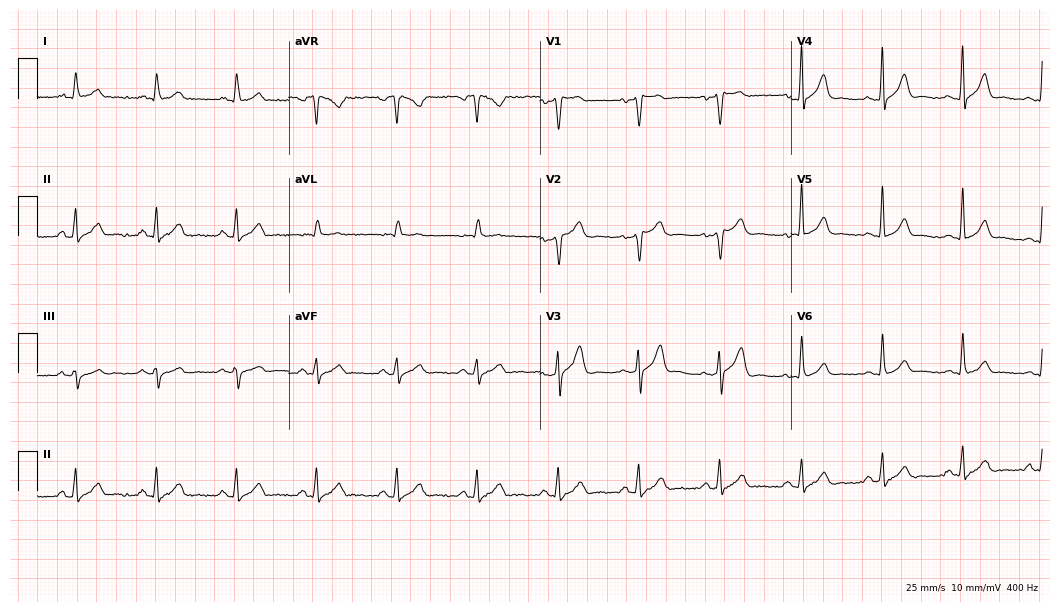
Resting 12-lead electrocardiogram (10.2-second recording at 400 Hz). Patient: a 50-year-old man. Read as a normal ECG.